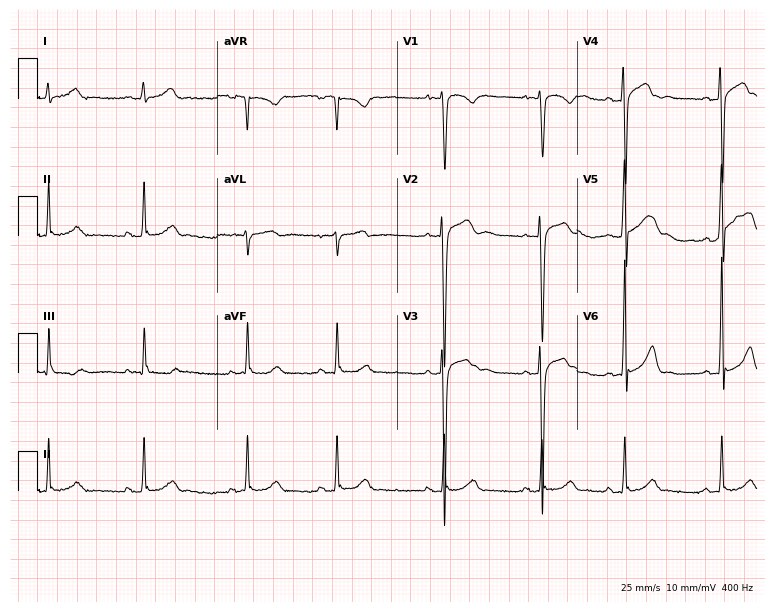
Standard 12-lead ECG recorded from a 19-year-old man (7.3-second recording at 400 Hz). Read as a normal ECG.